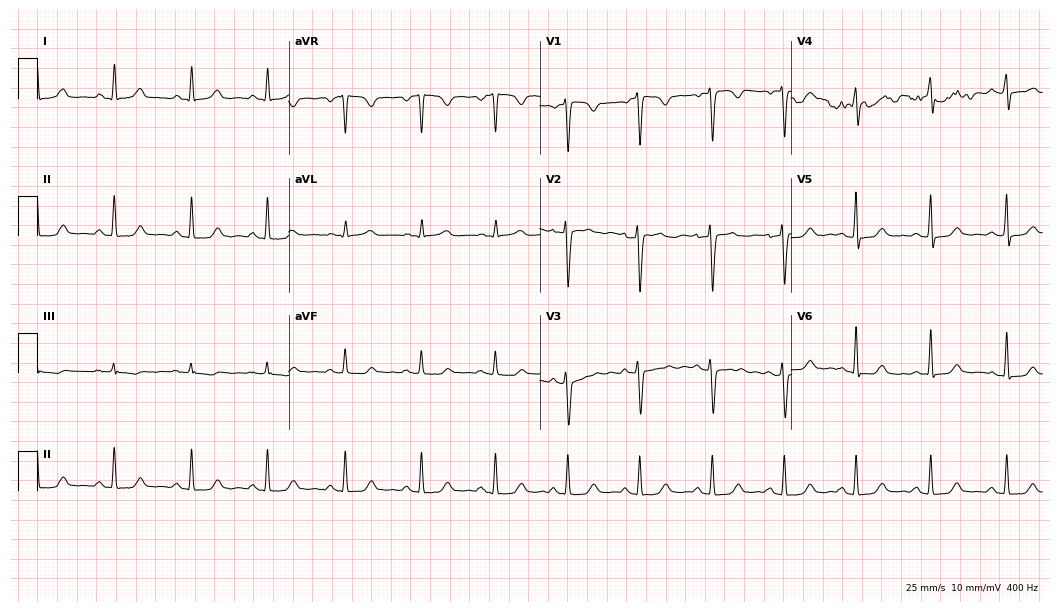
12-lead ECG from a 43-year-old female patient. Recorded interpretation: within normal limits.